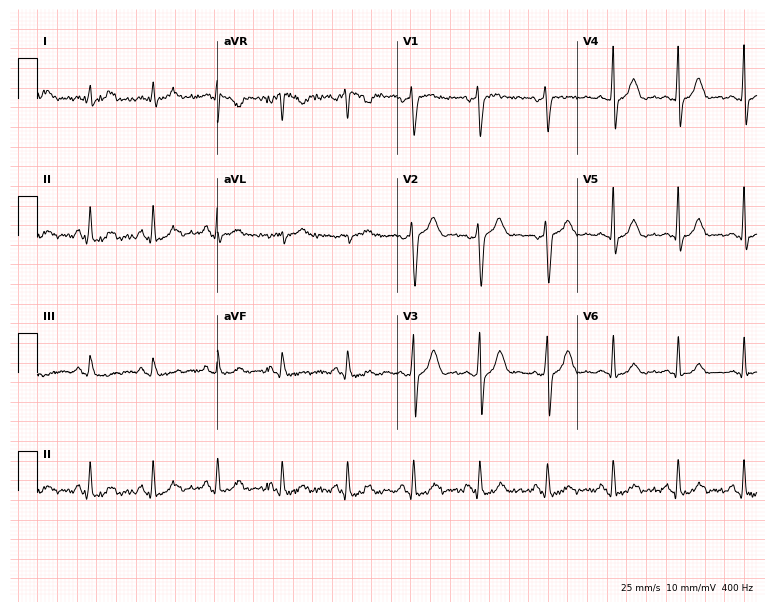
12-lead ECG from a man, 44 years old (7.3-second recording at 400 Hz). Recorded interpretation: within normal limits.